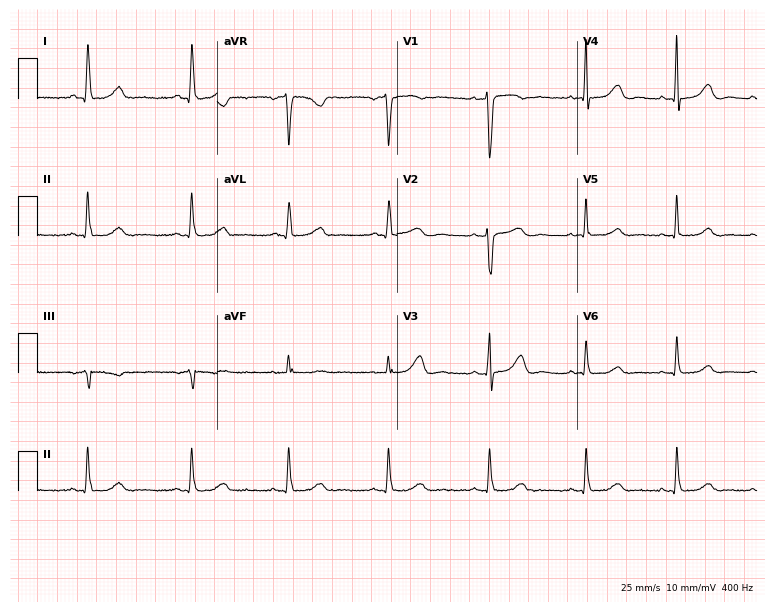
Electrocardiogram, a 59-year-old woman. Overall reading on record: normal ECG.